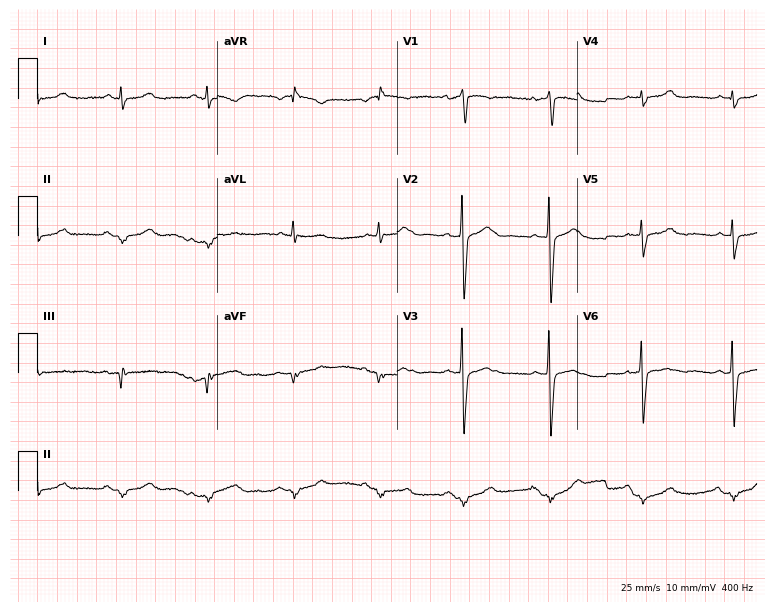
Standard 12-lead ECG recorded from a 48-year-old male patient. None of these six findings is recorded: first-degree AV block, right bundle branch block (RBBB), left bundle branch block (LBBB), sinus bradycardia, atrial fibrillation (AF), sinus tachycardia.